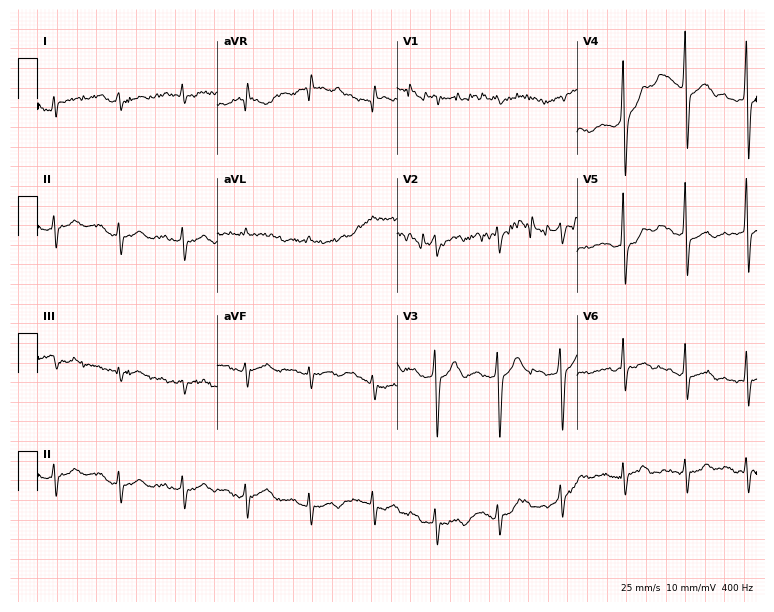
12-lead ECG from a male, 80 years old. Screened for six findings — first-degree AV block, right bundle branch block (RBBB), left bundle branch block (LBBB), sinus bradycardia, atrial fibrillation (AF), sinus tachycardia — none is recorded.